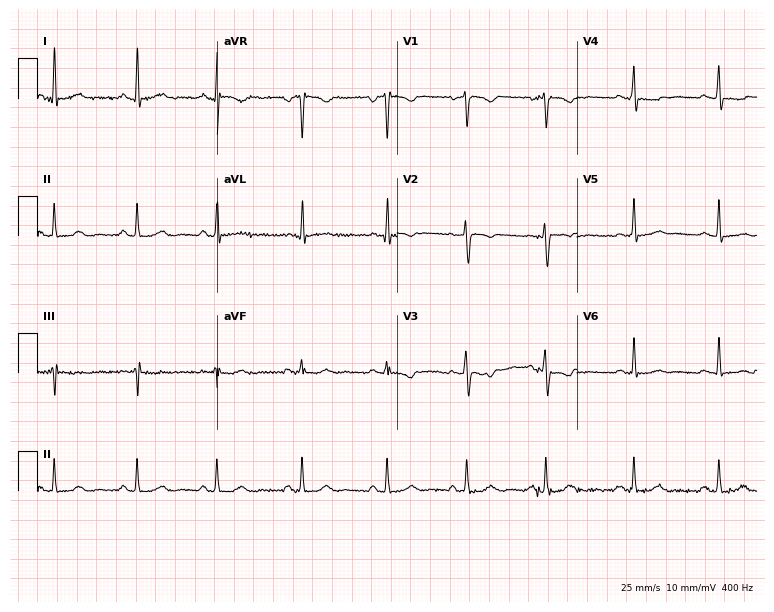
12-lead ECG from a 53-year-old woman (7.3-second recording at 400 Hz). No first-degree AV block, right bundle branch block (RBBB), left bundle branch block (LBBB), sinus bradycardia, atrial fibrillation (AF) or sinus tachycardia recorded for this tracing. Other findings, if any, are not listed.